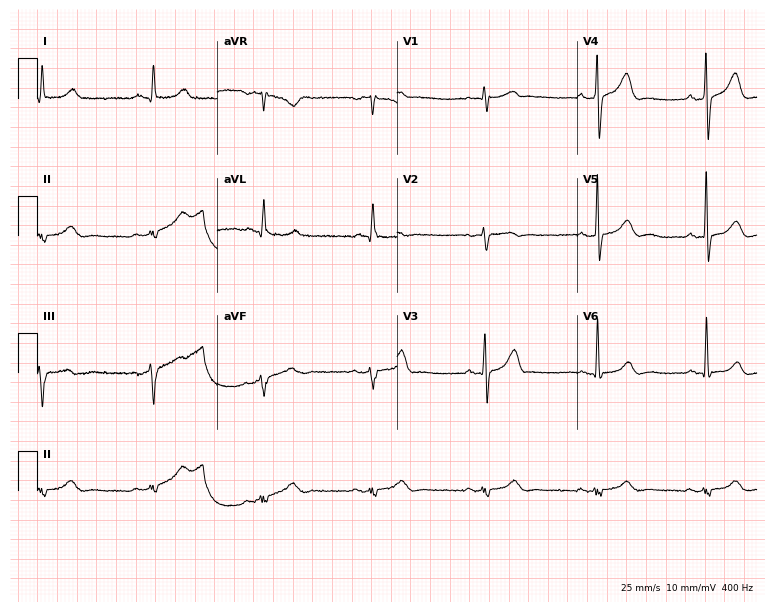
12-lead ECG from a 67-year-old man. Screened for six findings — first-degree AV block, right bundle branch block (RBBB), left bundle branch block (LBBB), sinus bradycardia, atrial fibrillation (AF), sinus tachycardia — none is recorded. Only these six findings were labelled.